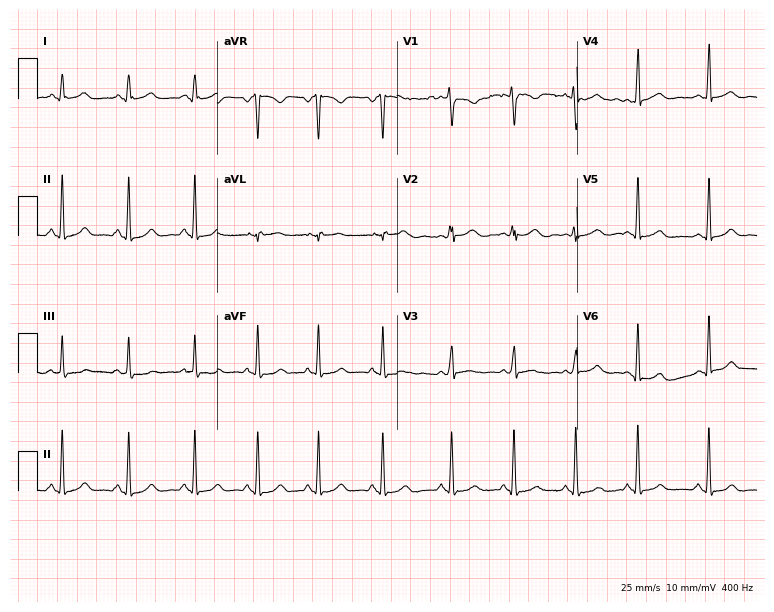
Resting 12-lead electrocardiogram (7.3-second recording at 400 Hz). Patient: a female, 33 years old. Read as a normal ECG.